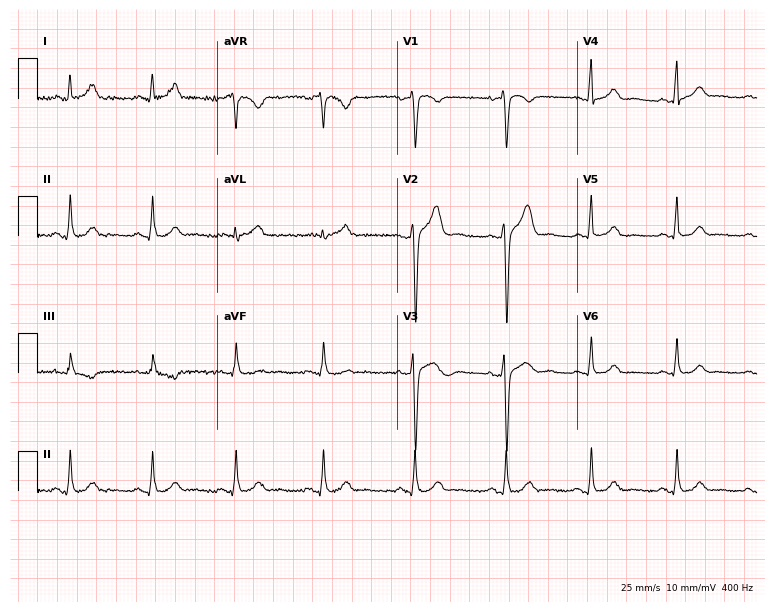
Resting 12-lead electrocardiogram (7.3-second recording at 400 Hz). Patient: a 35-year-old male. None of these six findings is recorded: first-degree AV block, right bundle branch block, left bundle branch block, sinus bradycardia, atrial fibrillation, sinus tachycardia.